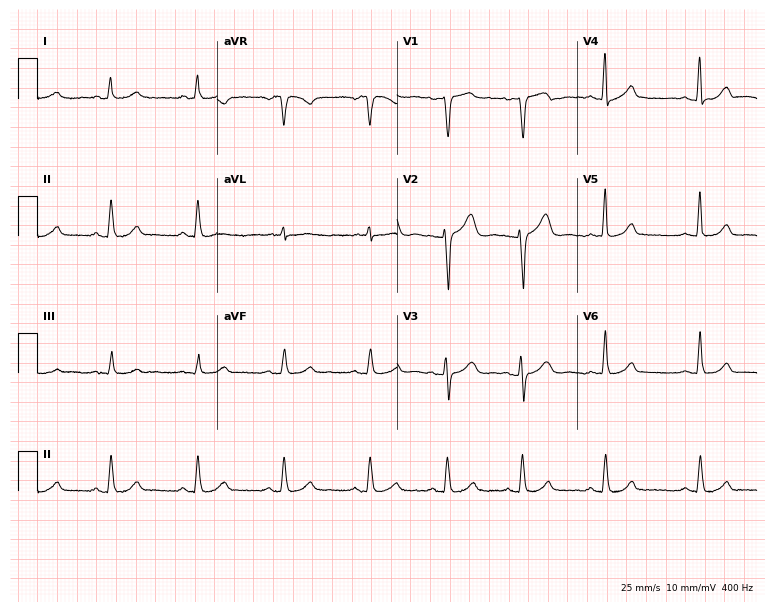
12-lead ECG from a woman, 37 years old (7.3-second recording at 400 Hz). Recorded interpretation: within normal limits.